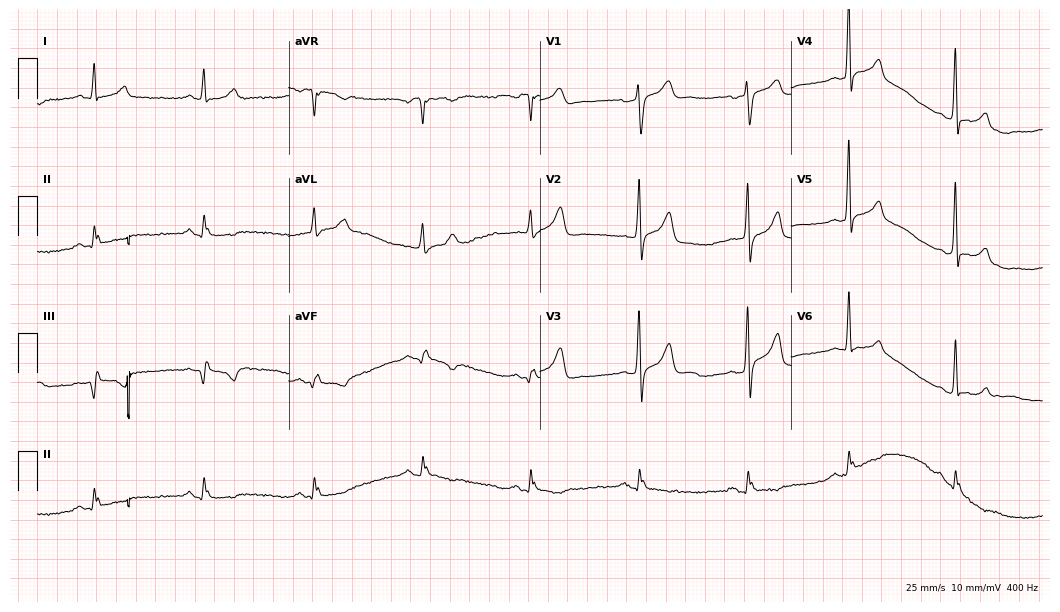
Electrocardiogram, a 64-year-old male patient. Of the six screened findings (first-degree AV block, right bundle branch block, left bundle branch block, sinus bradycardia, atrial fibrillation, sinus tachycardia), none is recorded.